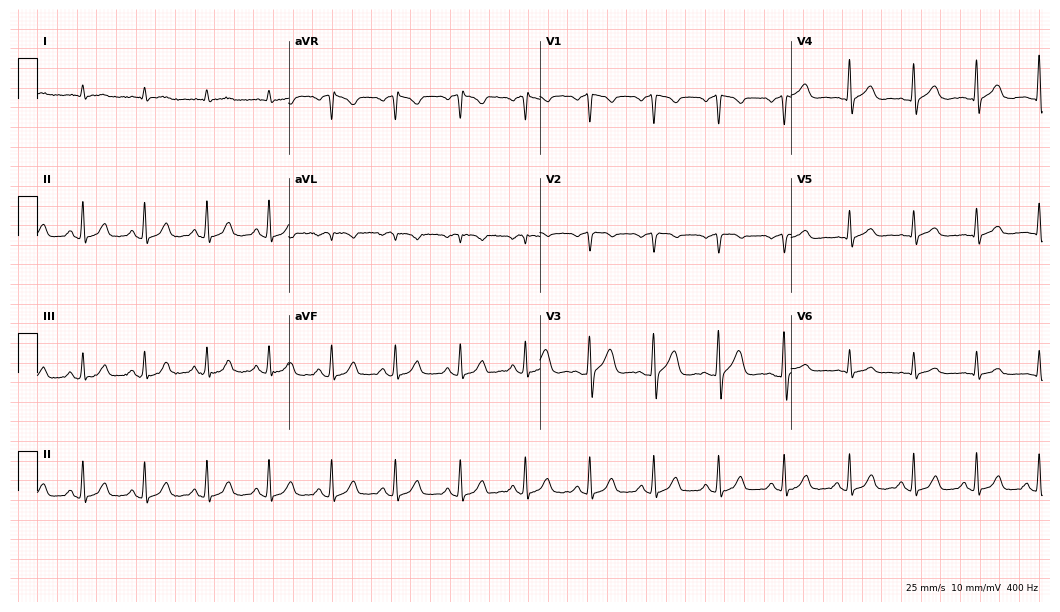
Resting 12-lead electrocardiogram (10.2-second recording at 400 Hz). Patient: a 52-year-old male. Read as a normal ECG.